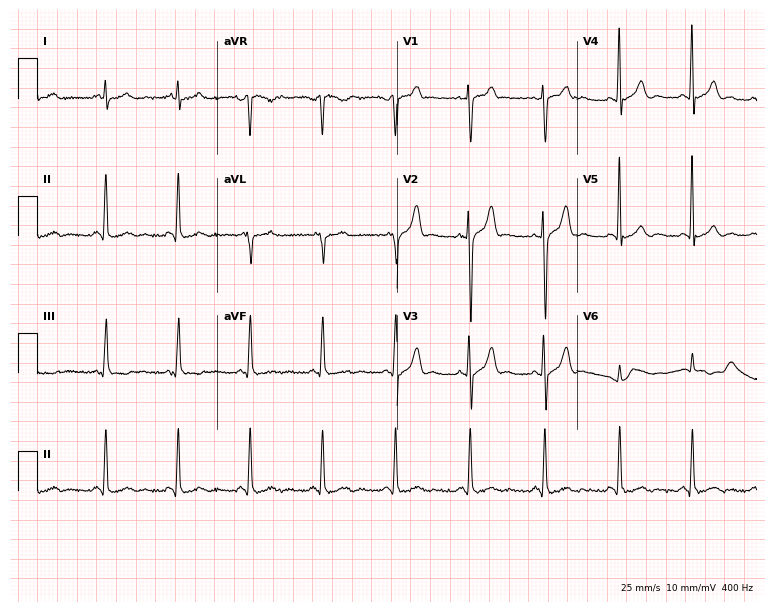
Resting 12-lead electrocardiogram. Patient: a male, 27 years old. Read as a normal ECG.